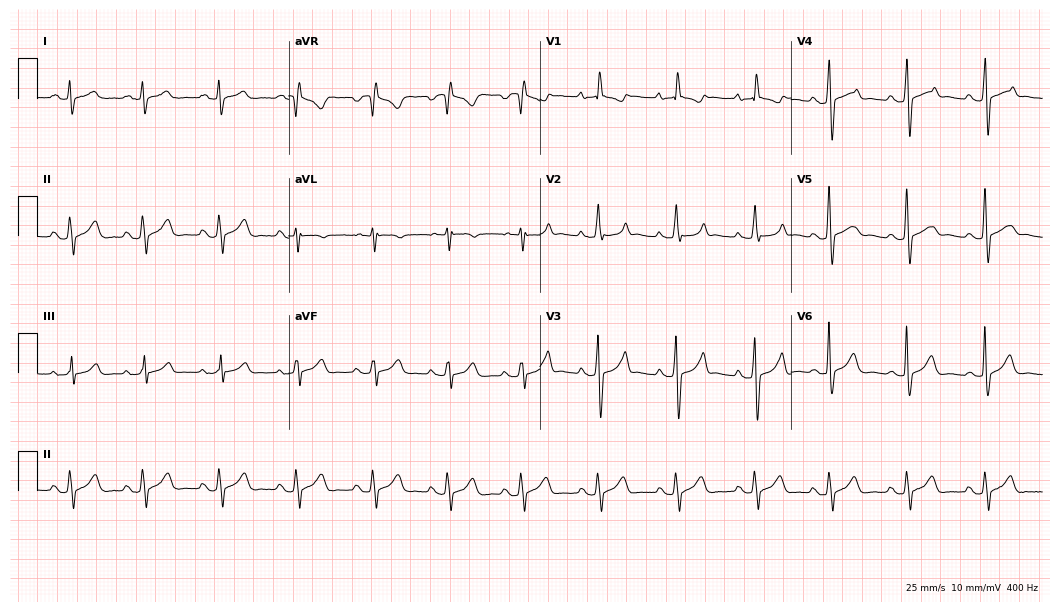
Standard 12-lead ECG recorded from a 26-year-old female (10.2-second recording at 400 Hz). None of these six findings is recorded: first-degree AV block, right bundle branch block, left bundle branch block, sinus bradycardia, atrial fibrillation, sinus tachycardia. Findings outside these six are not listed.